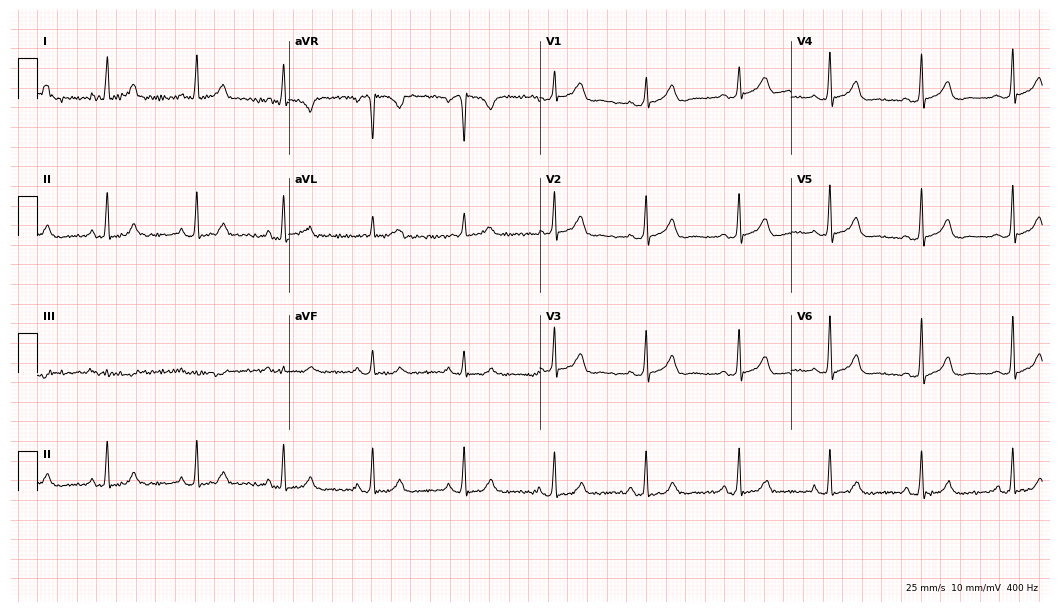
Resting 12-lead electrocardiogram (10.2-second recording at 400 Hz). Patient: a 58-year-old female. None of these six findings is recorded: first-degree AV block, right bundle branch block, left bundle branch block, sinus bradycardia, atrial fibrillation, sinus tachycardia.